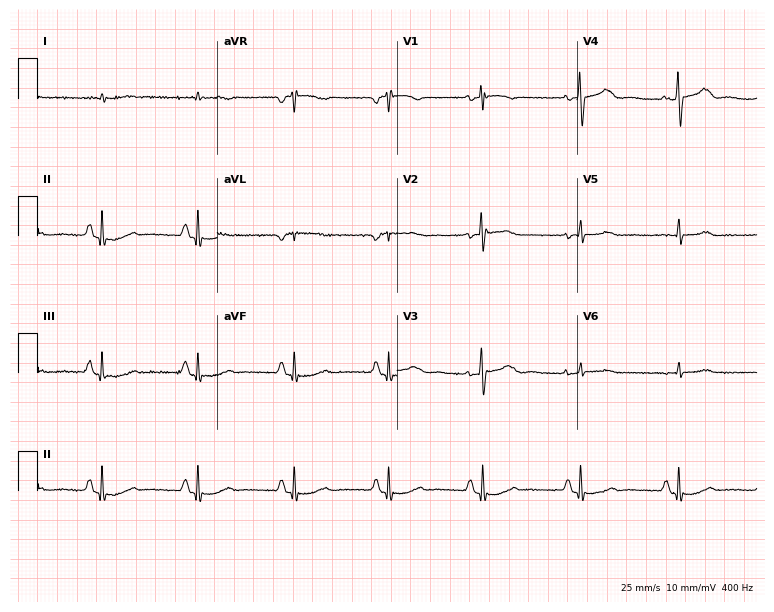
12-lead ECG (7.3-second recording at 400 Hz) from a male patient, 83 years old. Screened for six findings — first-degree AV block, right bundle branch block, left bundle branch block, sinus bradycardia, atrial fibrillation, sinus tachycardia — none is recorded. Other findings, if any, are not listed.